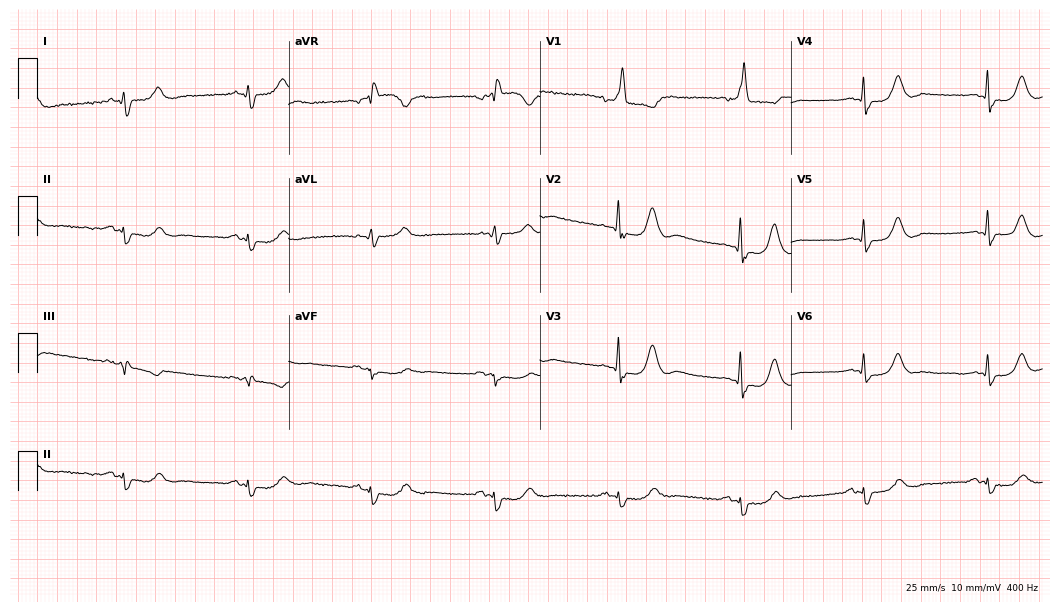
12-lead ECG from a 74-year-old female patient (10.2-second recording at 400 Hz). Shows right bundle branch block (RBBB).